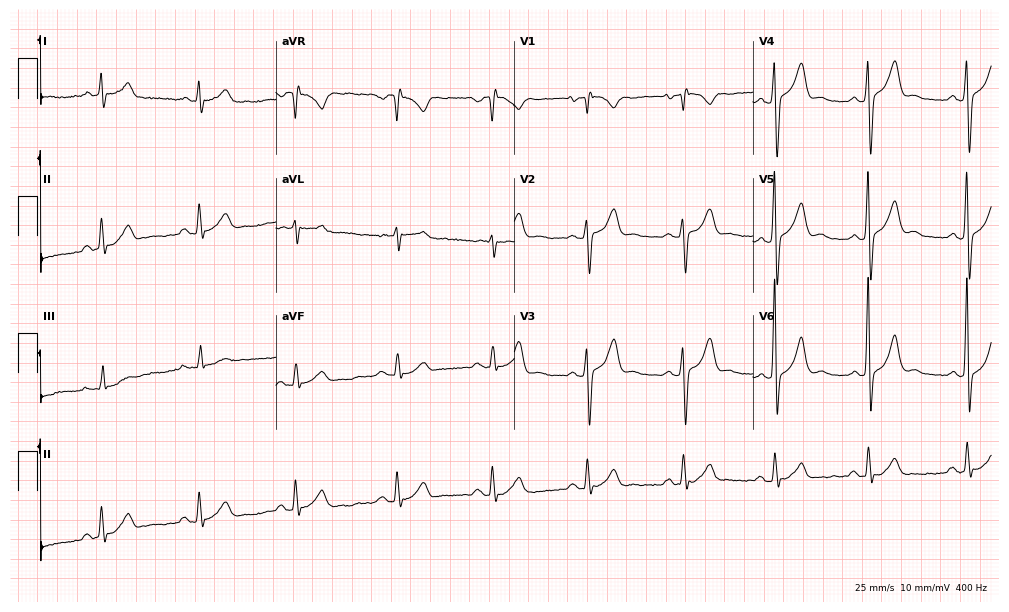
ECG (9.7-second recording at 400 Hz) — a male patient, 42 years old. Screened for six findings — first-degree AV block, right bundle branch block (RBBB), left bundle branch block (LBBB), sinus bradycardia, atrial fibrillation (AF), sinus tachycardia — none is recorded.